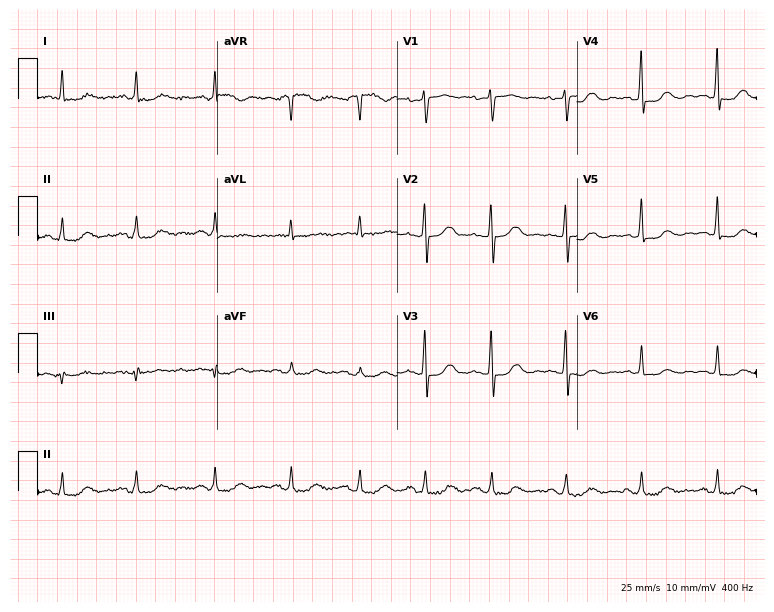
Resting 12-lead electrocardiogram (7.3-second recording at 400 Hz). Patient: a woman, 80 years old. None of these six findings is recorded: first-degree AV block, right bundle branch block, left bundle branch block, sinus bradycardia, atrial fibrillation, sinus tachycardia. Other findings, if any, are not listed.